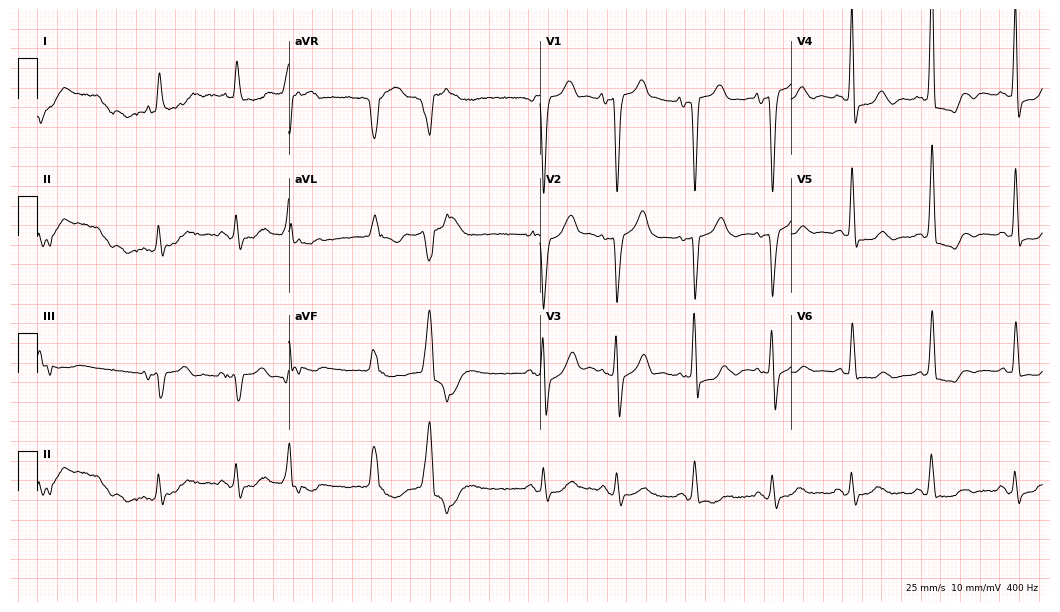
Resting 12-lead electrocardiogram (10.2-second recording at 400 Hz). Patient: an 85-year-old man. None of these six findings is recorded: first-degree AV block, right bundle branch block, left bundle branch block, sinus bradycardia, atrial fibrillation, sinus tachycardia. Only these six findings were labelled.